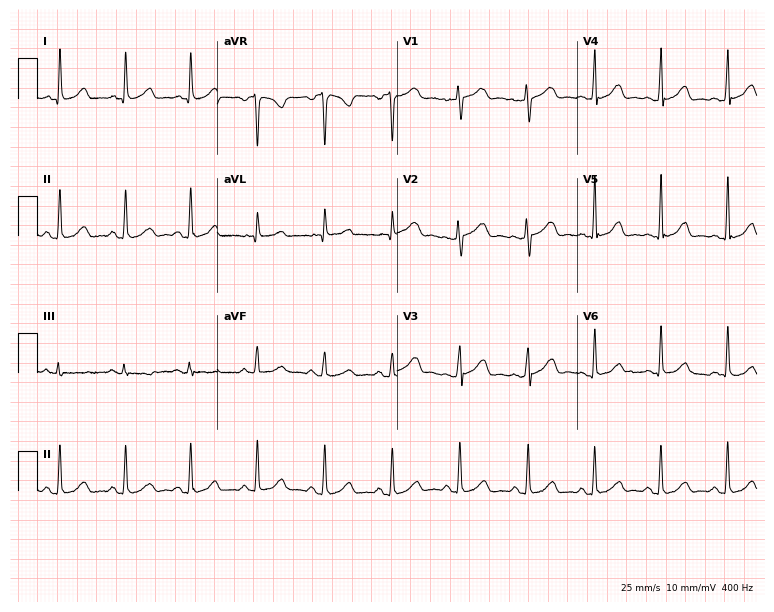
12-lead ECG from a 33-year-old woman. Recorded interpretation: within normal limits.